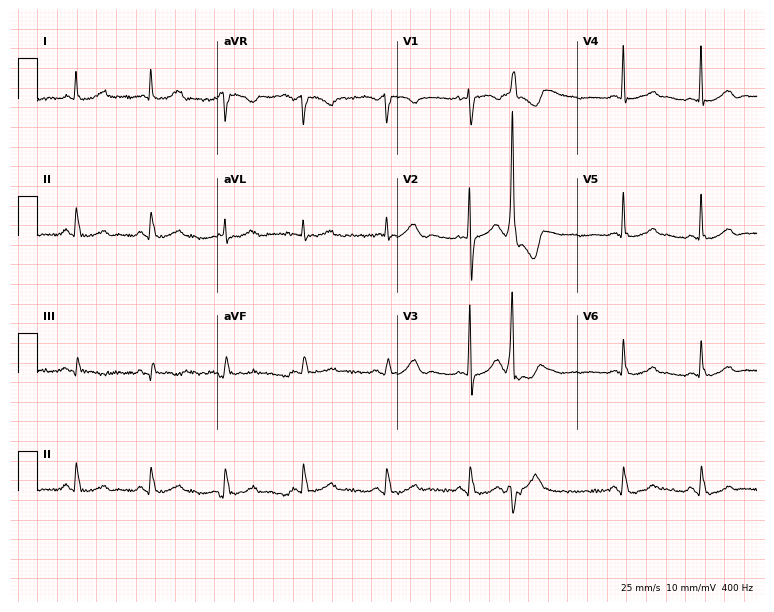
Standard 12-lead ECG recorded from a woman, 72 years old (7.3-second recording at 400 Hz). None of these six findings is recorded: first-degree AV block, right bundle branch block, left bundle branch block, sinus bradycardia, atrial fibrillation, sinus tachycardia. Only these six findings were labelled.